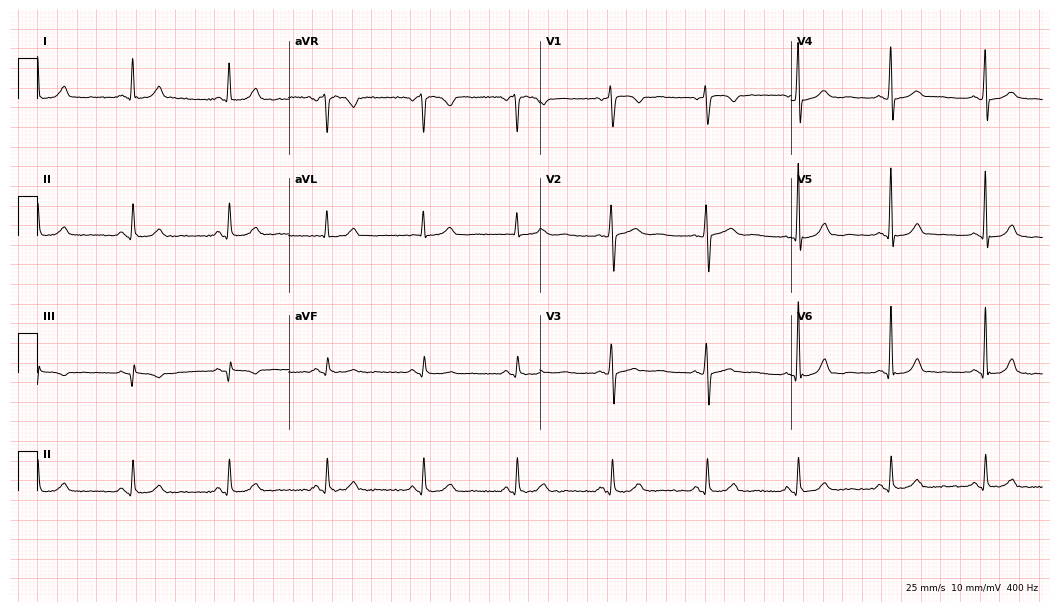
ECG — a female patient, 52 years old. Screened for six findings — first-degree AV block, right bundle branch block, left bundle branch block, sinus bradycardia, atrial fibrillation, sinus tachycardia — none is recorded. Other findings, if any, are not listed.